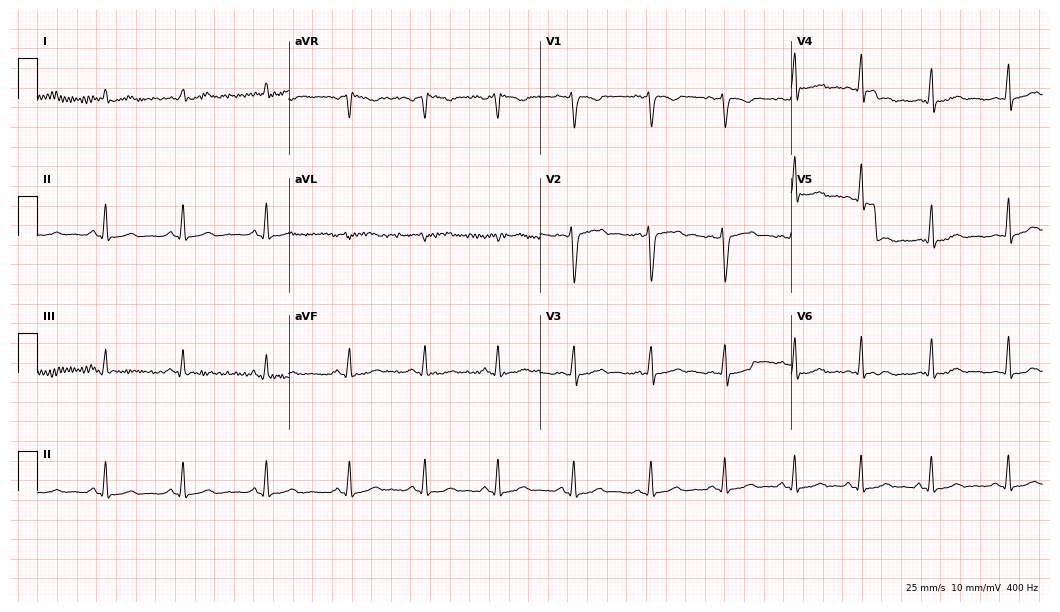
Electrocardiogram, a woman, 35 years old. Overall reading on record: normal ECG.